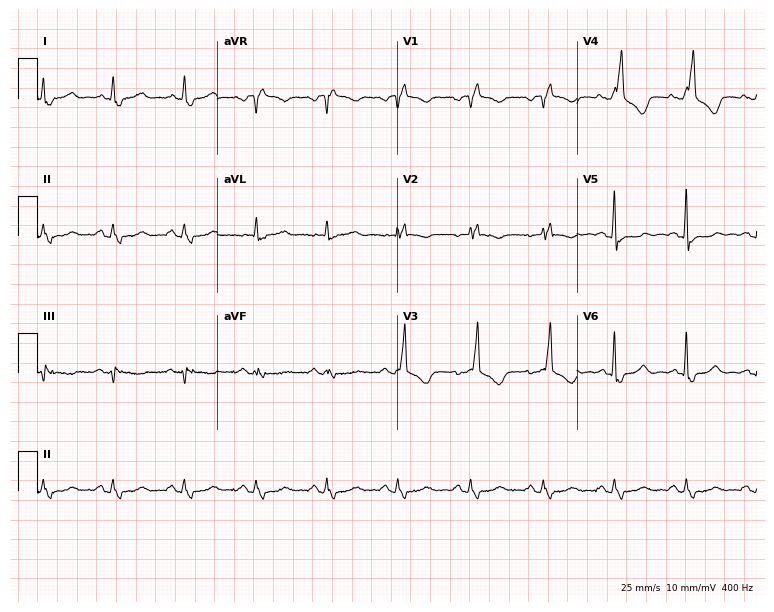
ECG — a female, 62 years old. Findings include right bundle branch block.